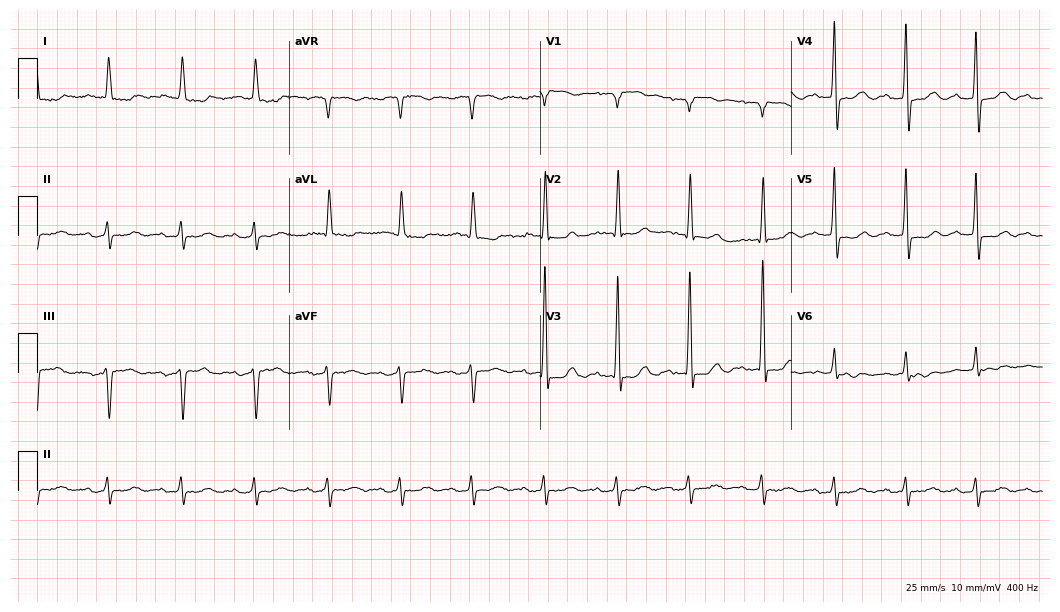
12-lead ECG from a female, 88 years old. Labelled as a normal ECG.